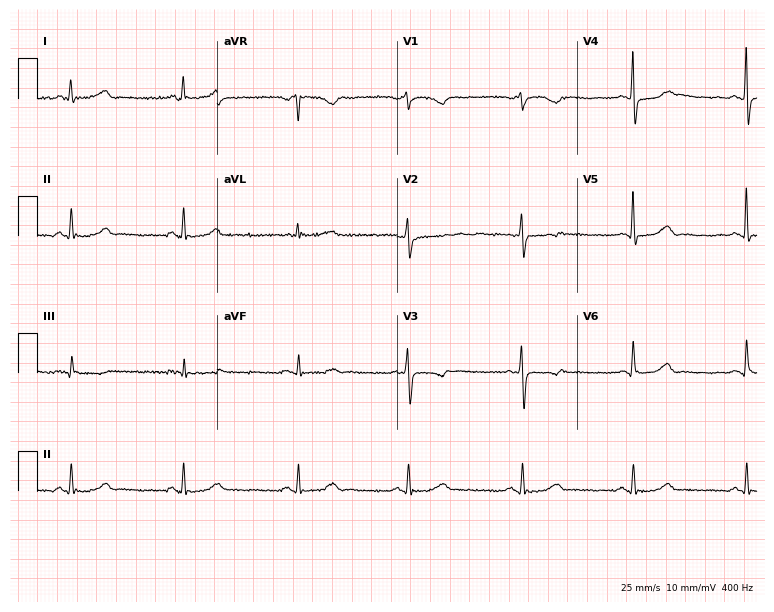
Standard 12-lead ECG recorded from a 66-year-old female patient. None of these six findings is recorded: first-degree AV block, right bundle branch block, left bundle branch block, sinus bradycardia, atrial fibrillation, sinus tachycardia.